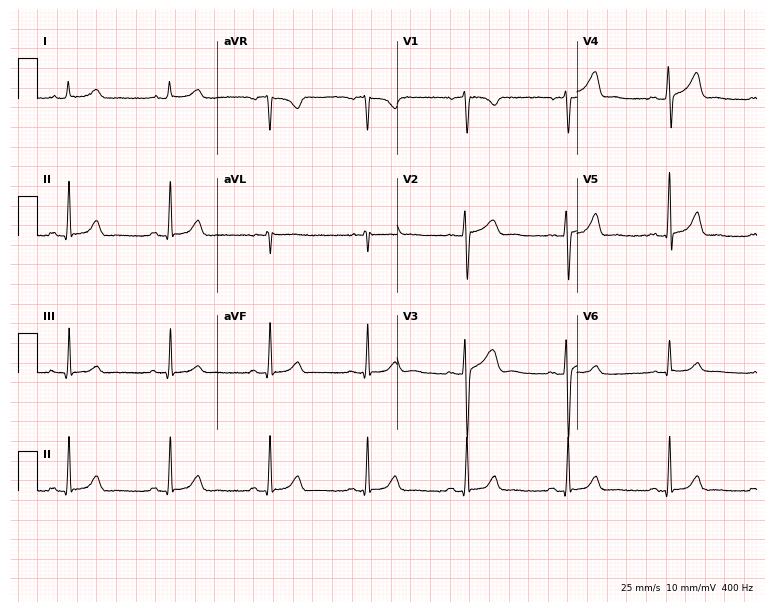
12-lead ECG from a 38-year-old male. Screened for six findings — first-degree AV block, right bundle branch block, left bundle branch block, sinus bradycardia, atrial fibrillation, sinus tachycardia — none is recorded.